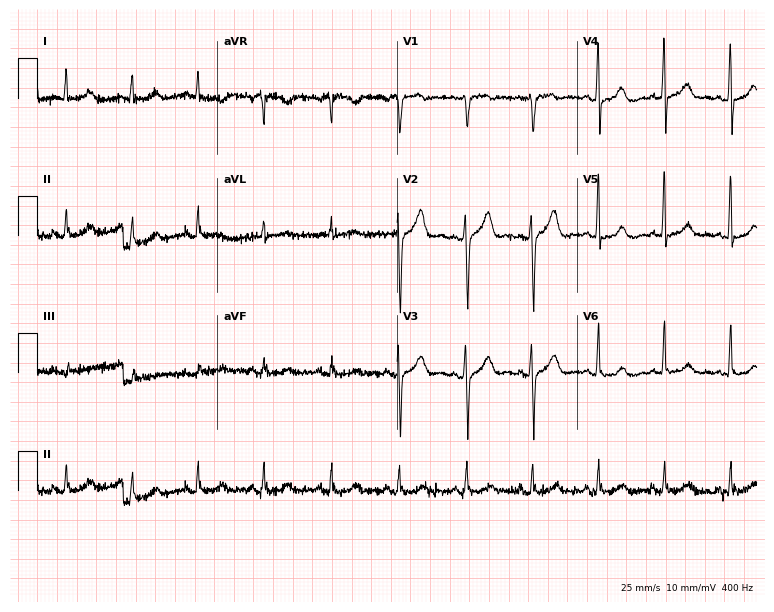
12-lead ECG (7.3-second recording at 400 Hz) from a 70-year-old male. Labelled as a normal ECG.